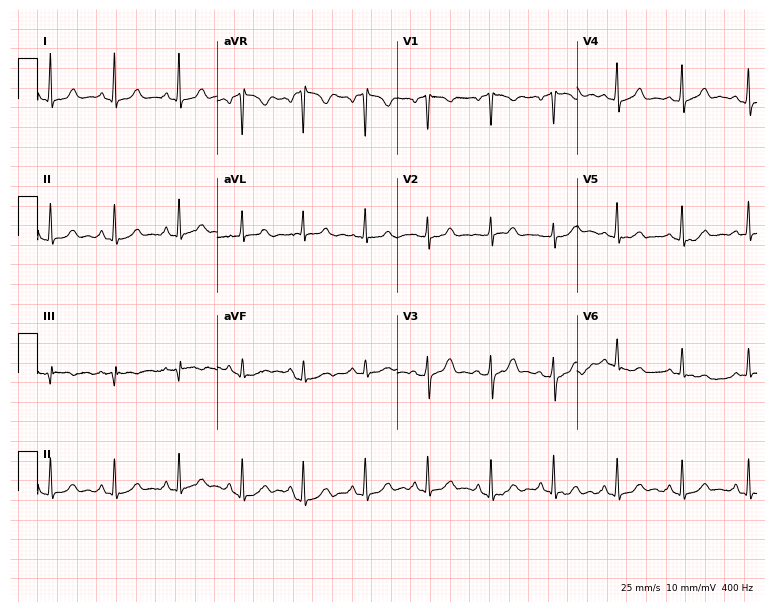
12-lead ECG from a man, 53 years old. Recorded interpretation: within normal limits.